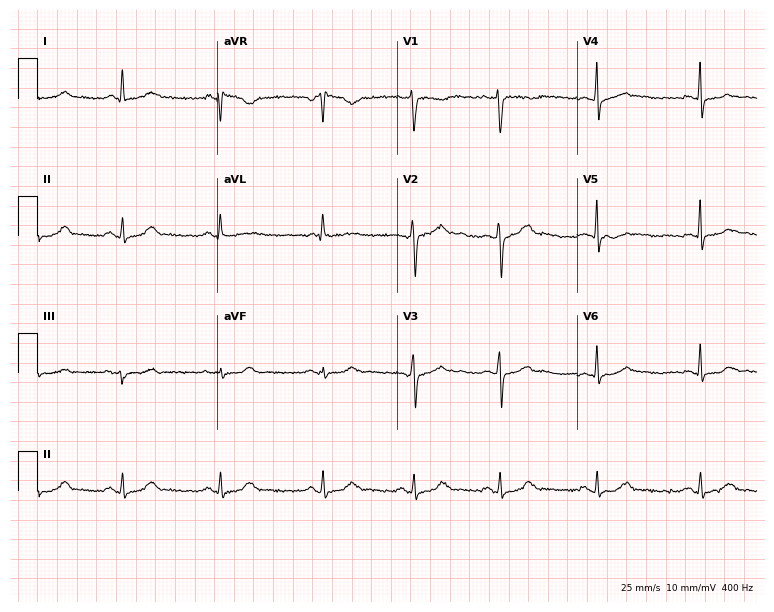
12-lead ECG from a 37-year-old woman (7.3-second recording at 400 Hz). No first-degree AV block, right bundle branch block, left bundle branch block, sinus bradycardia, atrial fibrillation or sinus tachycardia recorded for this tracing. Only these six findings were labelled.